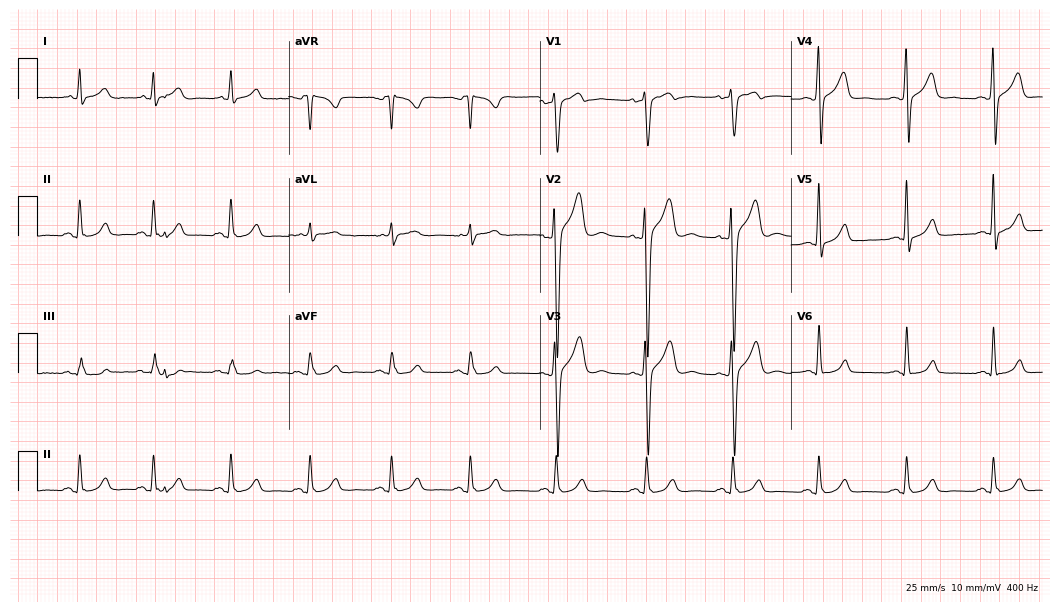
12-lead ECG from a 24-year-old man (10.2-second recording at 400 Hz). Recorded interpretation: within normal limits.